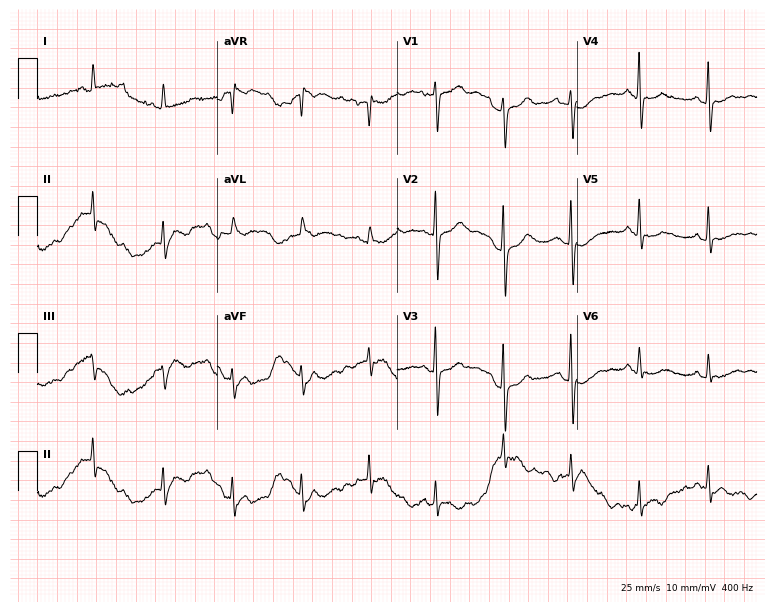
Standard 12-lead ECG recorded from a female, 71 years old (7.3-second recording at 400 Hz). Read as a normal ECG.